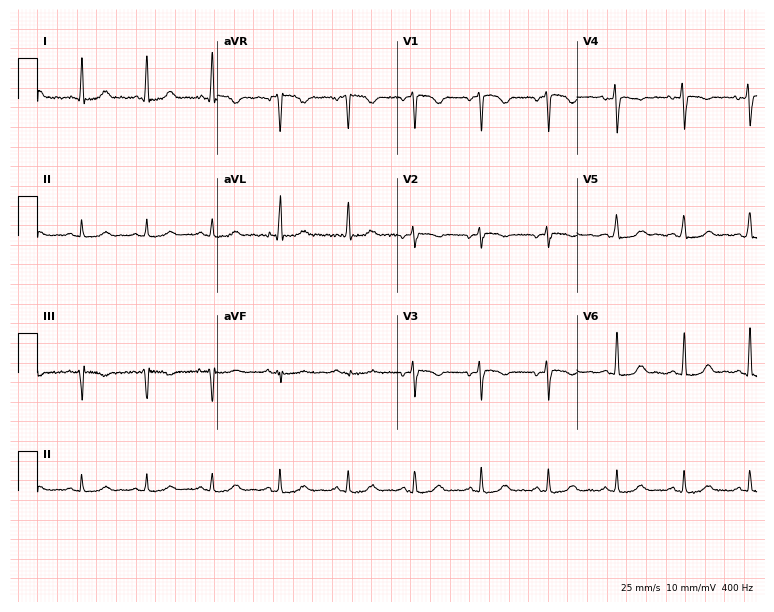
Standard 12-lead ECG recorded from a 29-year-old female patient. Read as a normal ECG.